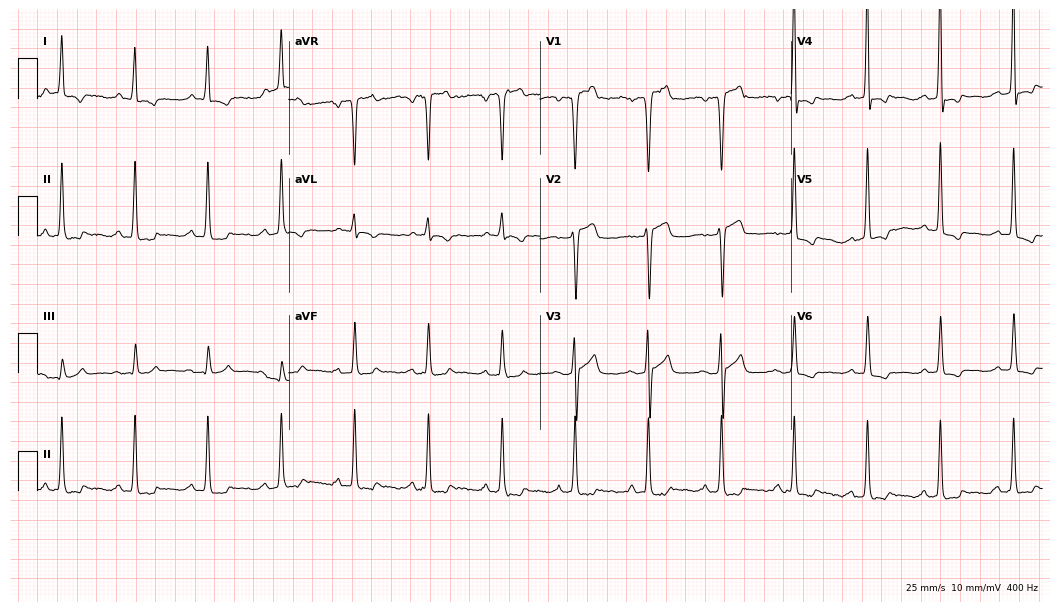
Electrocardiogram (10.2-second recording at 400 Hz), a female patient, 63 years old. Of the six screened findings (first-degree AV block, right bundle branch block, left bundle branch block, sinus bradycardia, atrial fibrillation, sinus tachycardia), none is recorded.